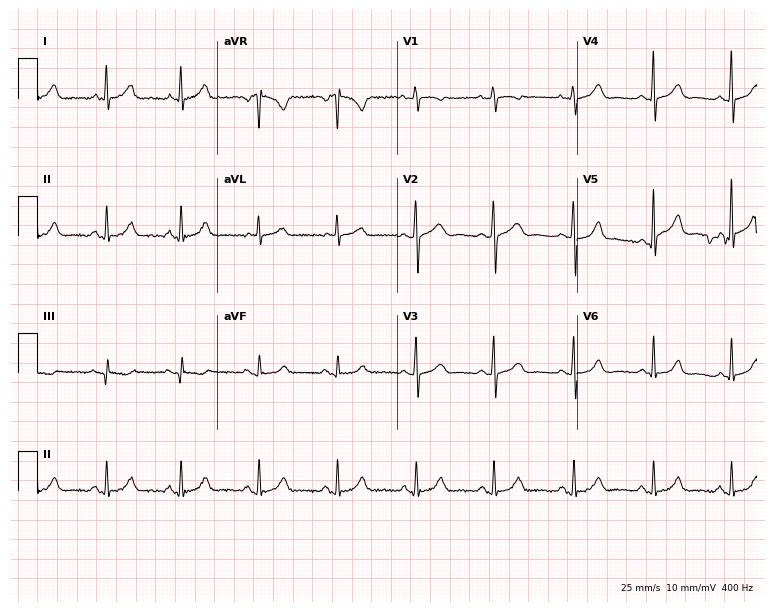
12-lead ECG from a female, 66 years old. No first-degree AV block, right bundle branch block, left bundle branch block, sinus bradycardia, atrial fibrillation or sinus tachycardia recorded for this tracing. Other findings, if any, are not listed.